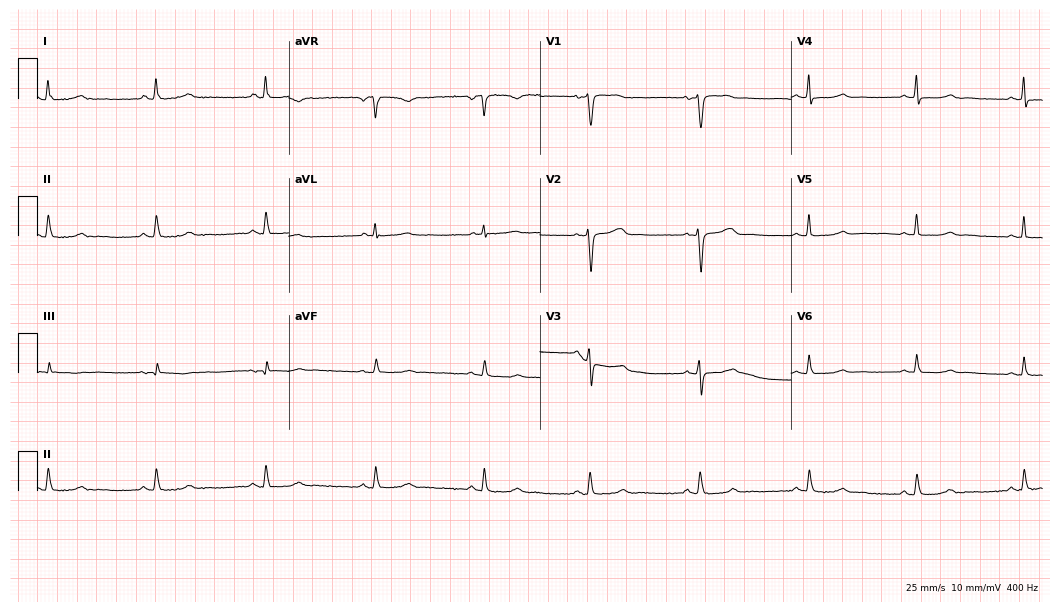
12-lead ECG (10.2-second recording at 400 Hz) from a 67-year-old female patient. Screened for six findings — first-degree AV block, right bundle branch block (RBBB), left bundle branch block (LBBB), sinus bradycardia, atrial fibrillation (AF), sinus tachycardia — none is recorded.